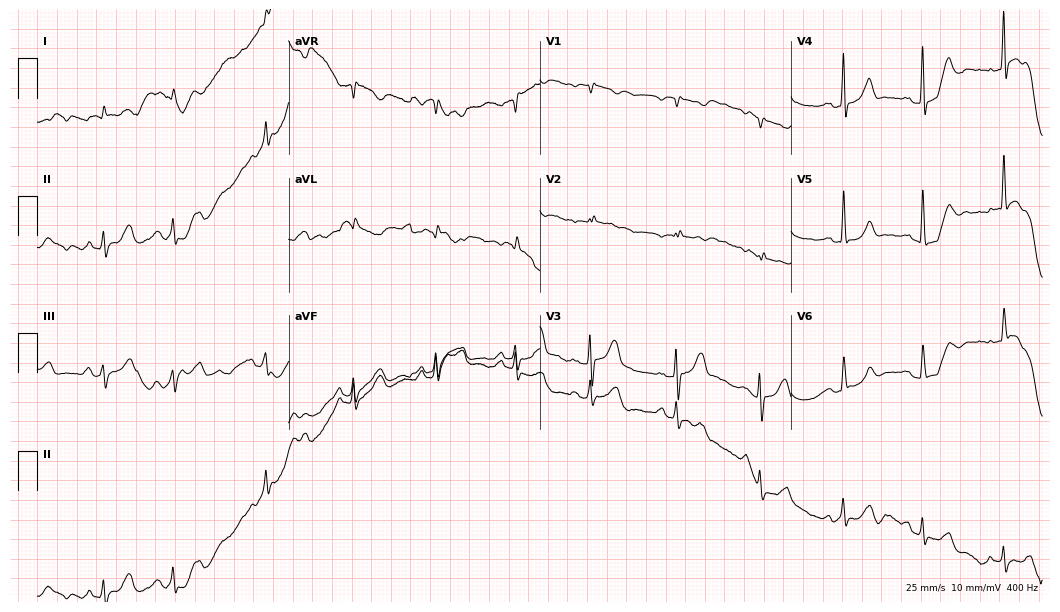
Standard 12-lead ECG recorded from a man, 84 years old (10.2-second recording at 400 Hz). Read as a normal ECG.